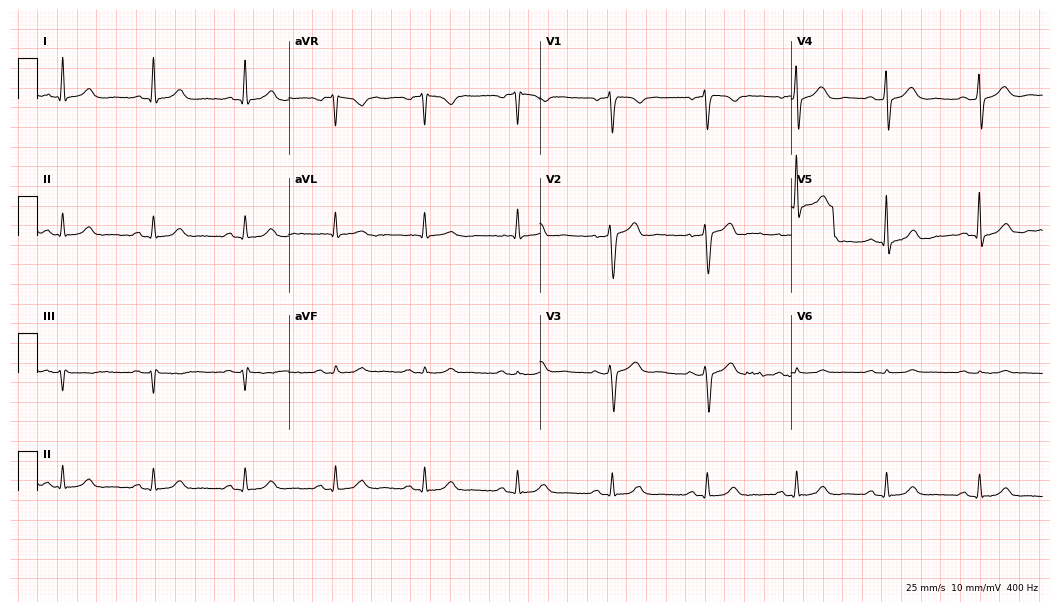
Electrocardiogram, a man, 49 years old. Overall reading on record: normal ECG.